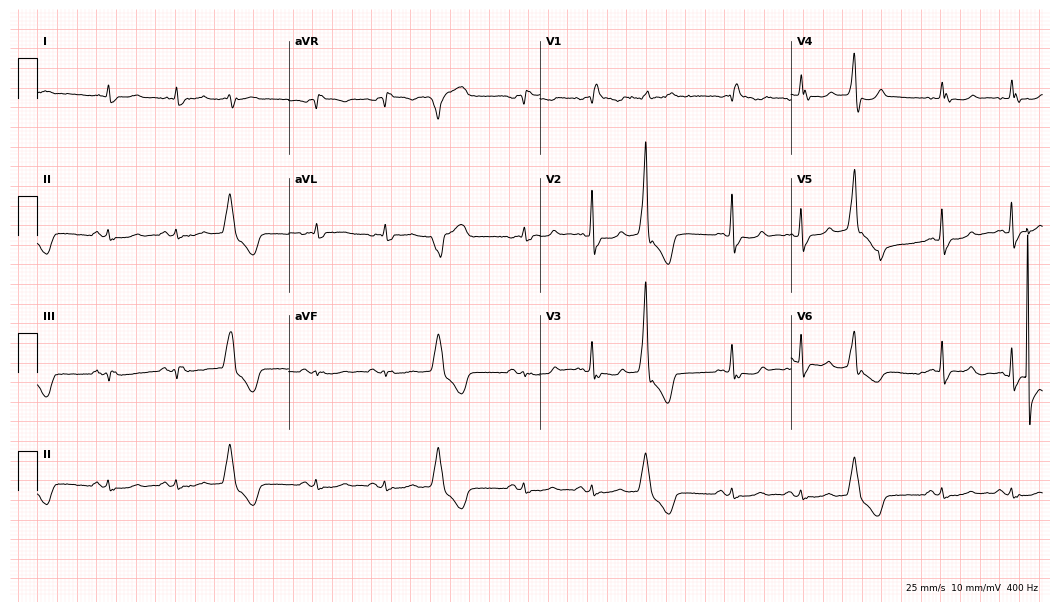
12-lead ECG from a man, 82 years old. Shows right bundle branch block (RBBB).